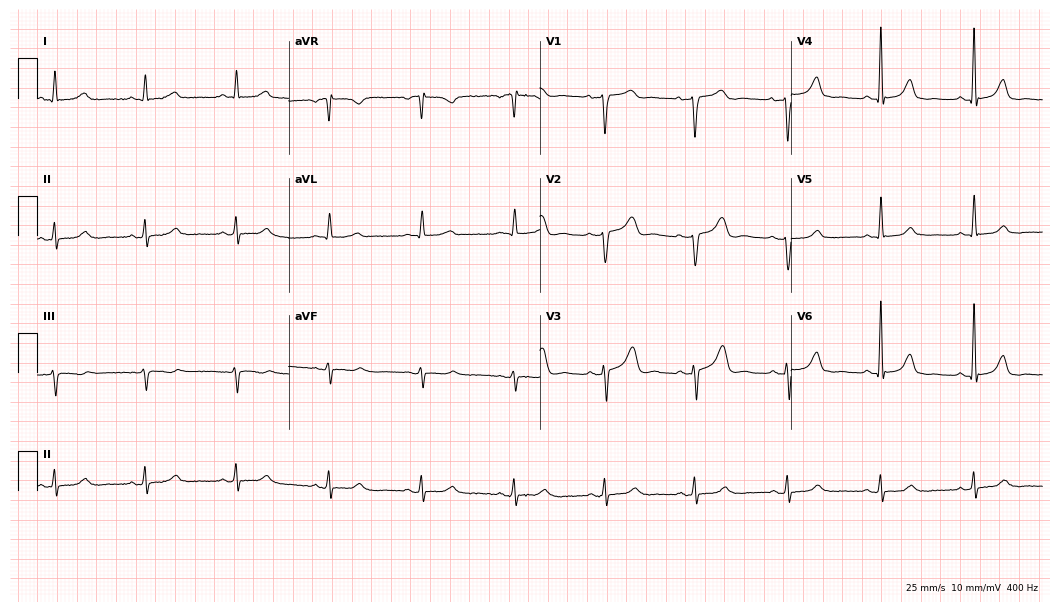
12-lead ECG from a 71-year-old female patient (10.2-second recording at 400 Hz). No first-degree AV block, right bundle branch block (RBBB), left bundle branch block (LBBB), sinus bradycardia, atrial fibrillation (AF) or sinus tachycardia recorded for this tracing. Other findings, if any, are not listed.